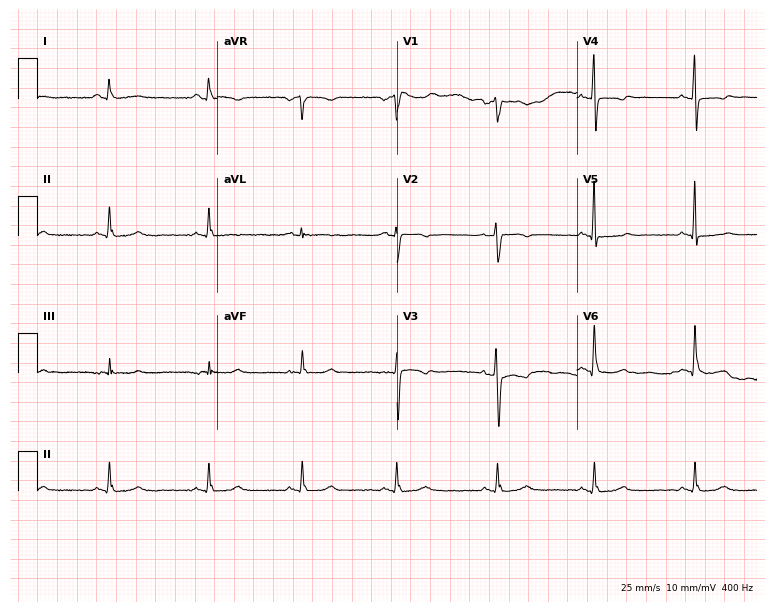
12-lead ECG from a female, 50 years old. Screened for six findings — first-degree AV block, right bundle branch block (RBBB), left bundle branch block (LBBB), sinus bradycardia, atrial fibrillation (AF), sinus tachycardia — none is recorded. Other findings, if any, are not listed.